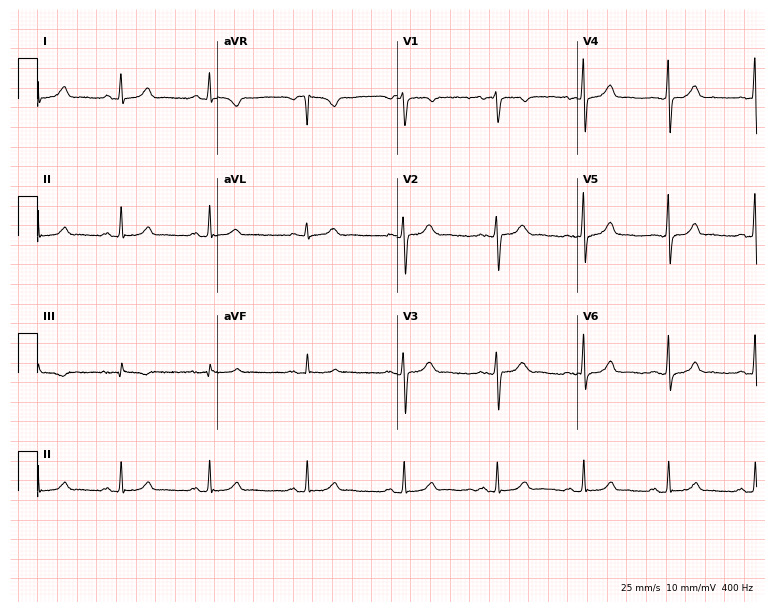
12-lead ECG from a female patient, 30 years old. Labelled as a normal ECG.